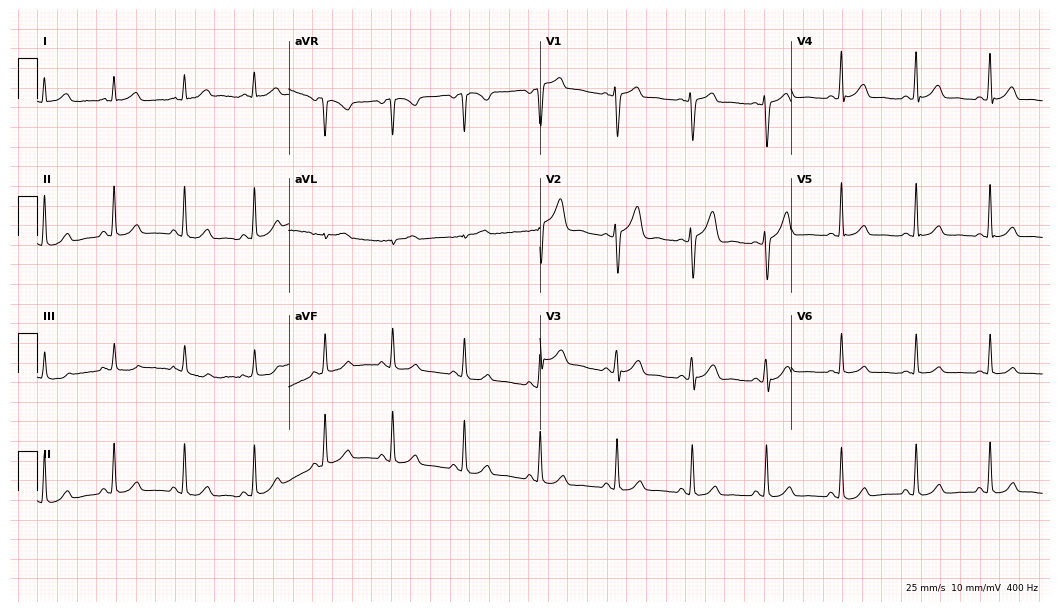
Electrocardiogram (10.2-second recording at 400 Hz), a 36-year-old male patient. Overall reading on record: normal ECG.